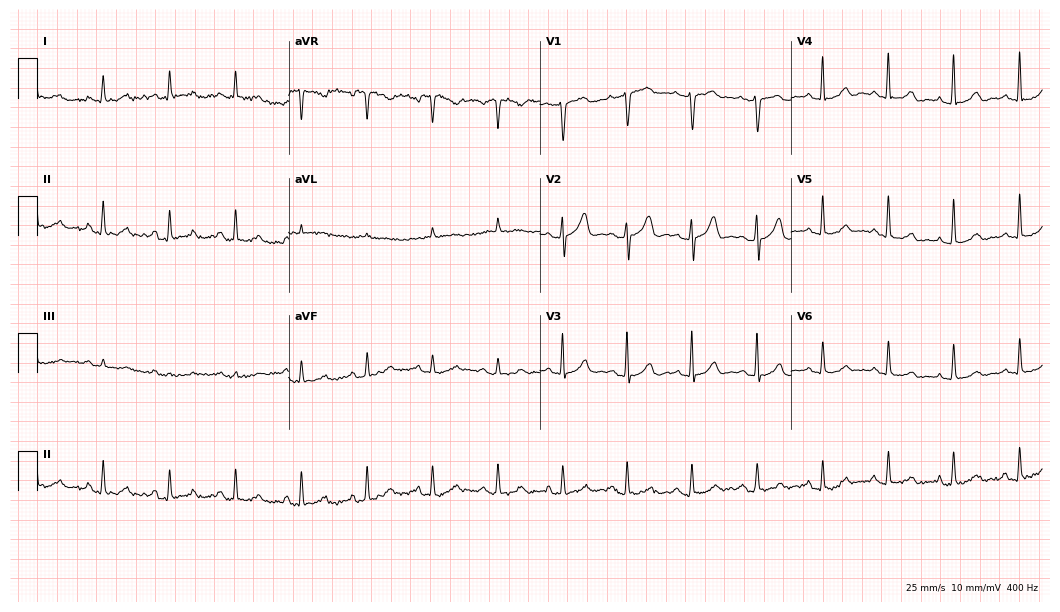
ECG — a male, 68 years old. Labelled as a normal ECG.